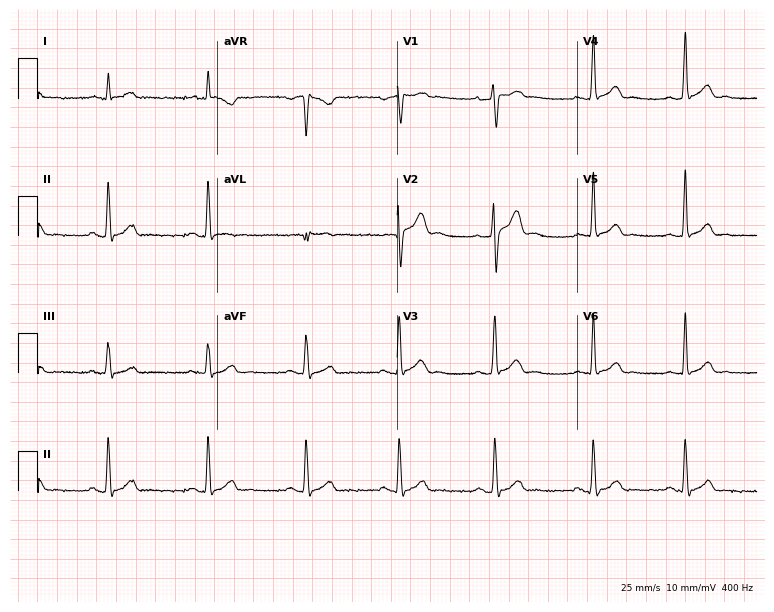
Resting 12-lead electrocardiogram. Patient: a 28-year-old man. Read as a normal ECG.